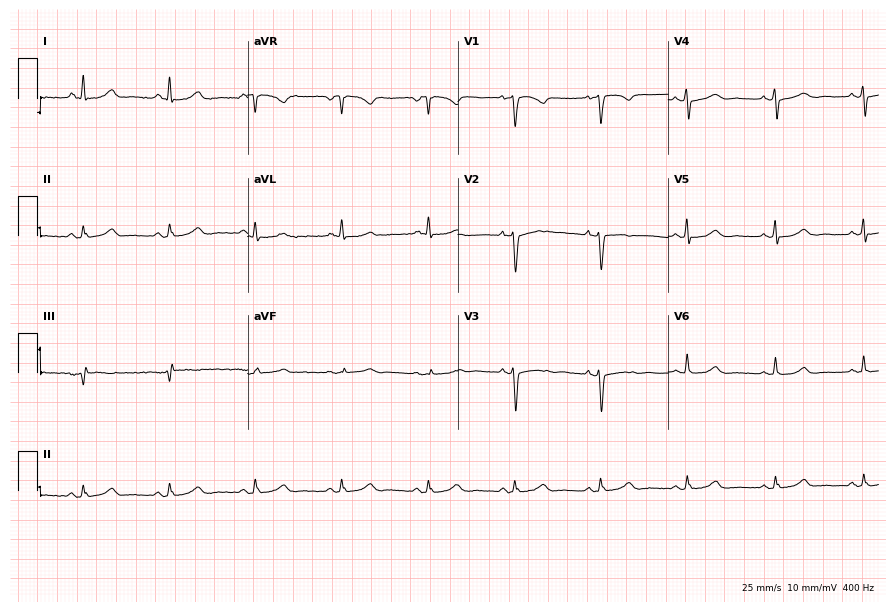
12-lead ECG from a woman, 51 years old (8.6-second recording at 400 Hz). Recorded interpretation: within normal limits.